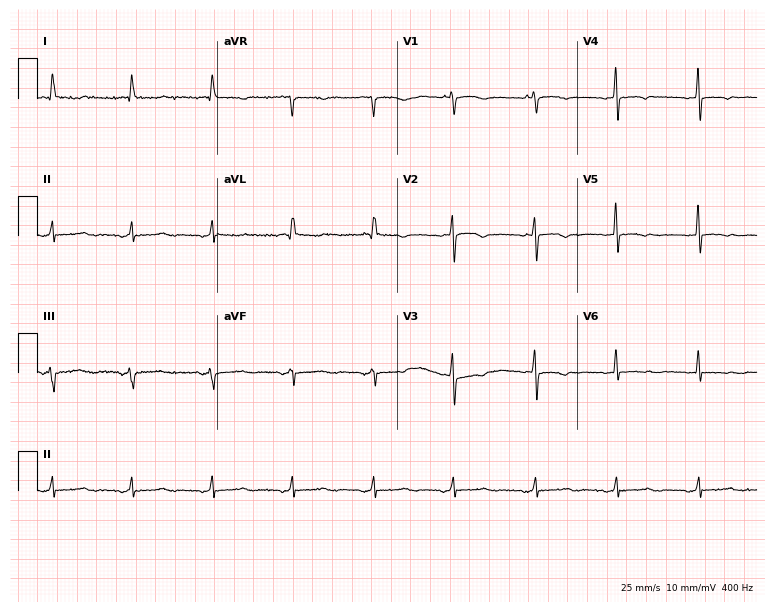
Resting 12-lead electrocardiogram. Patient: a woman, 65 years old. None of these six findings is recorded: first-degree AV block, right bundle branch block, left bundle branch block, sinus bradycardia, atrial fibrillation, sinus tachycardia.